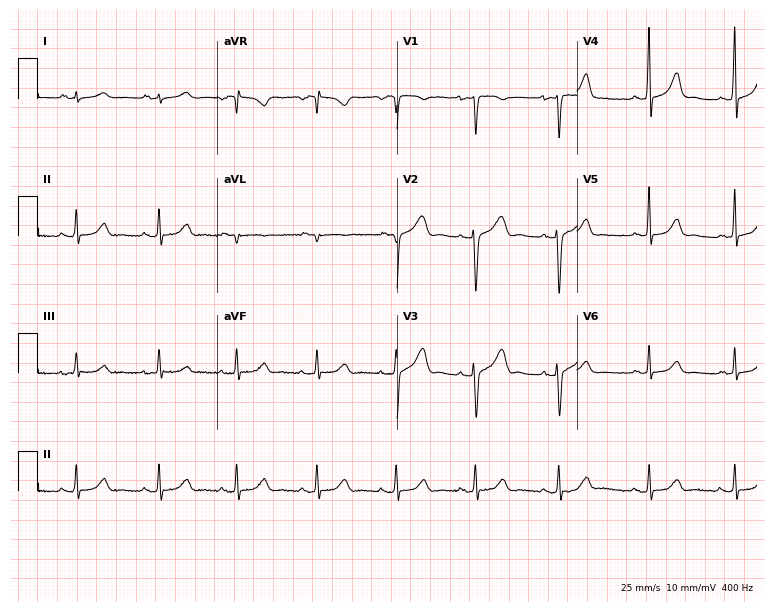
Standard 12-lead ECG recorded from a 21-year-old female (7.3-second recording at 400 Hz). Read as a normal ECG.